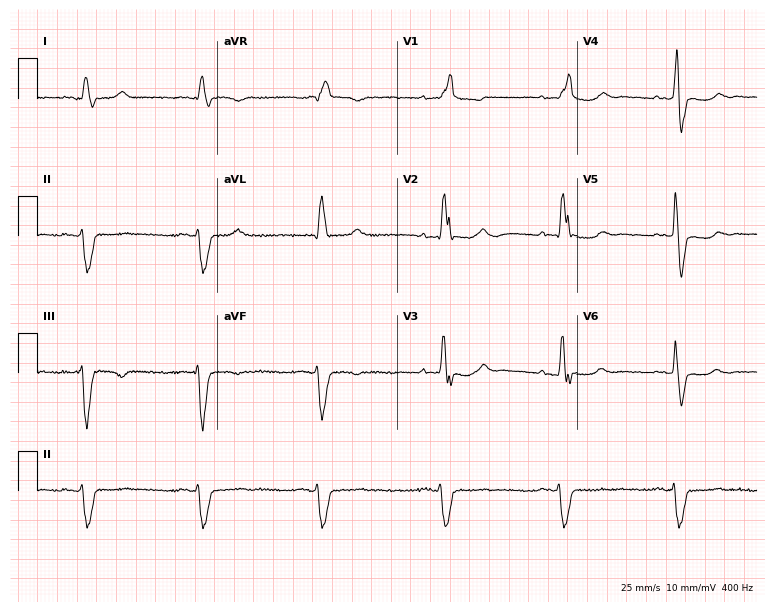
12-lead ECG from a 65-year-old man. Shows right bundle branch block, sinus bradycardia (a sinus rate of 50 beats per minute or less).